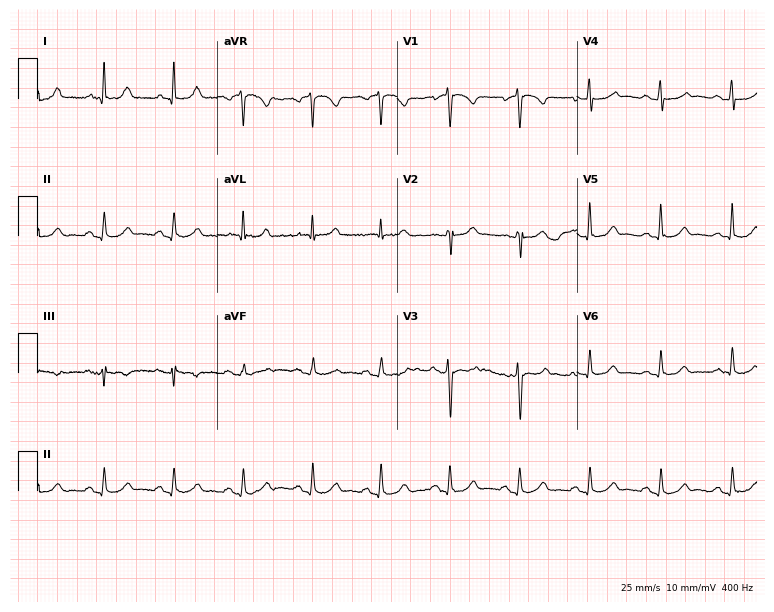
Resting 12-lead electrocardiogram (7.3-second recording at 400 Hz). Patient: a male, 66 years old. Read as a normal ECG.